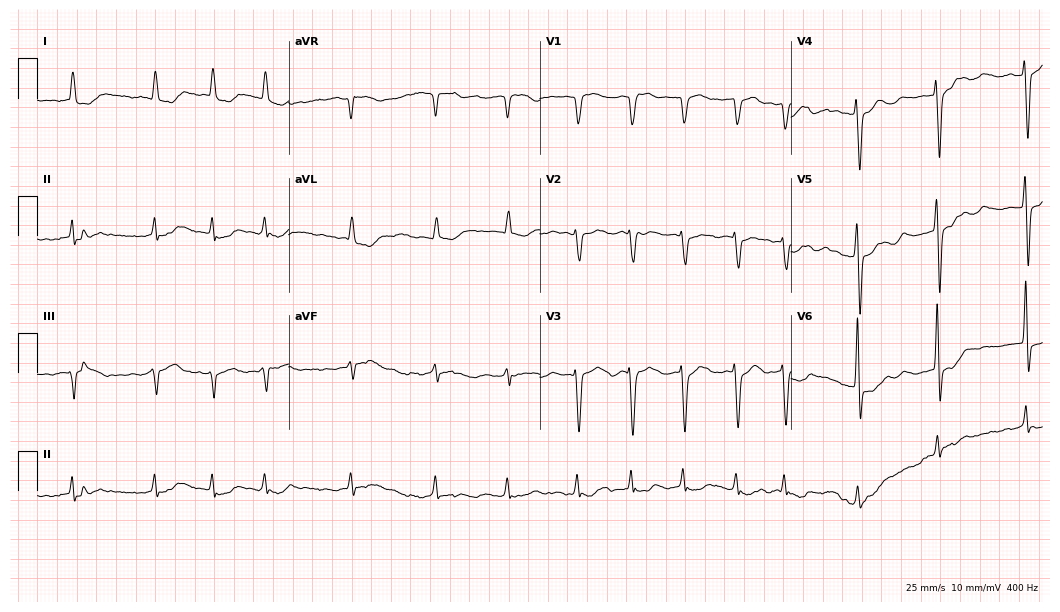
ECG (10.2-second recording at 400 Hz) — a 71-year-old female patient. Findings include atrial fibrillation.